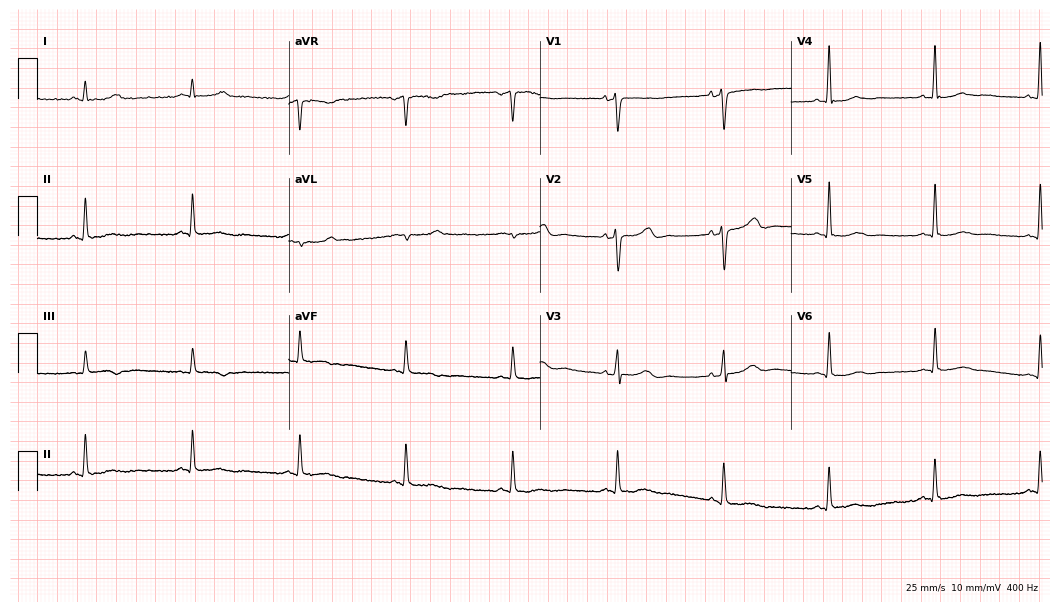
Resting 12-lead electrocardiogram. Patient: a 39-year-old woman. None of these six findings is recorded: first-degree AV block, right bundle branch block (RBBB), left bundle branch block (LBBB), sinus bradycardia, atrial fibrillation (AF), sinus tachycardia.